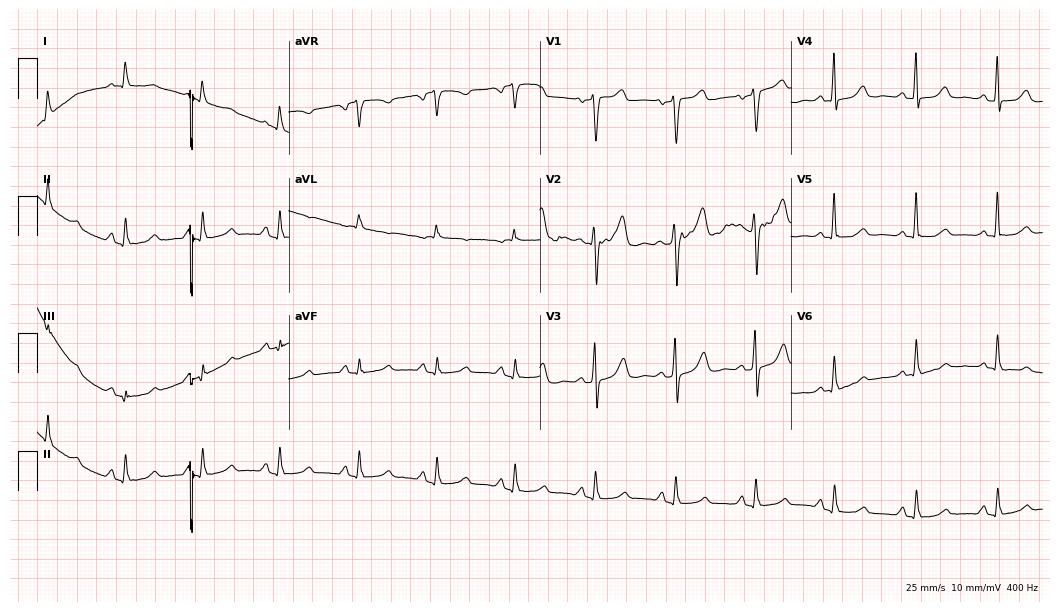
12-lead ECG (10.2-second recording at 400 Hz) from a 55-year-old female. Screened for six findings — first-degree AV block, right bundle branch block, left bundle branch block, sinus bradycardia, atrial fibrillation, sinus tachycardia — none is recorded.